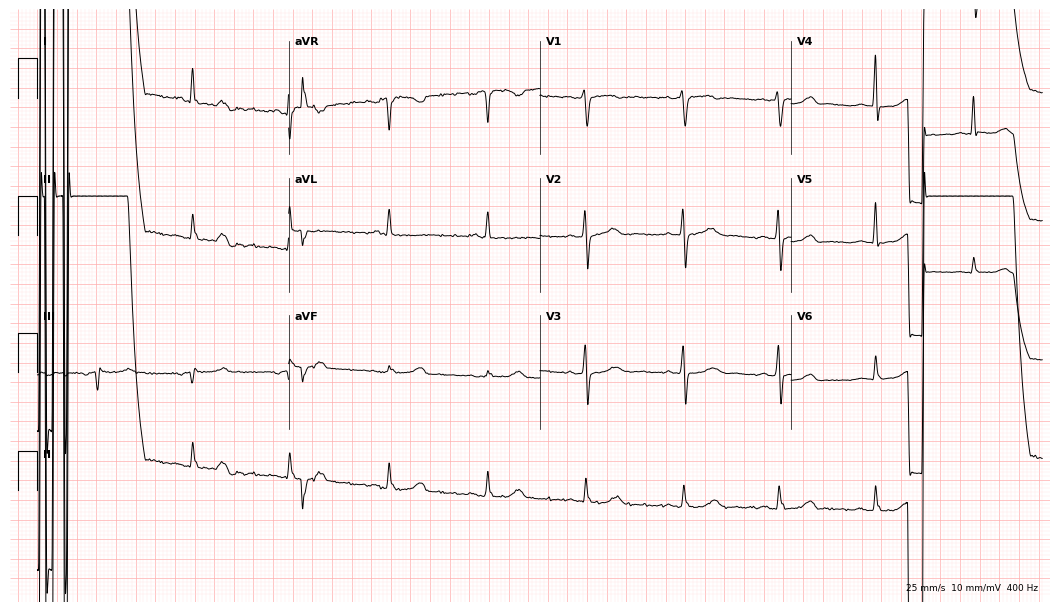
Standard 12-lead ECG recorded from a 66-year-old female patient. None of these six findings is recorded: first-degree AV block, right bundle branch block (RBBB), left bundle branch block (LBBB), sinus bradycardia, atrial fibrillation (AF), sinus tachycardia.